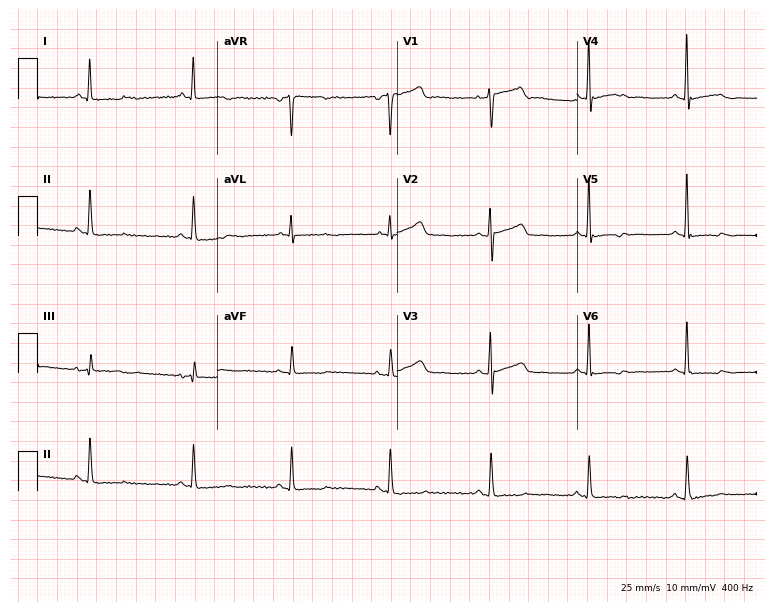
ECG — a female, 59 years old. Screened for six findings — first-degree AV block, right bundle branch block, left bundle branch block, sinus bradycardia, atrial fibrillation, sinus tachycardia — none is recorded.